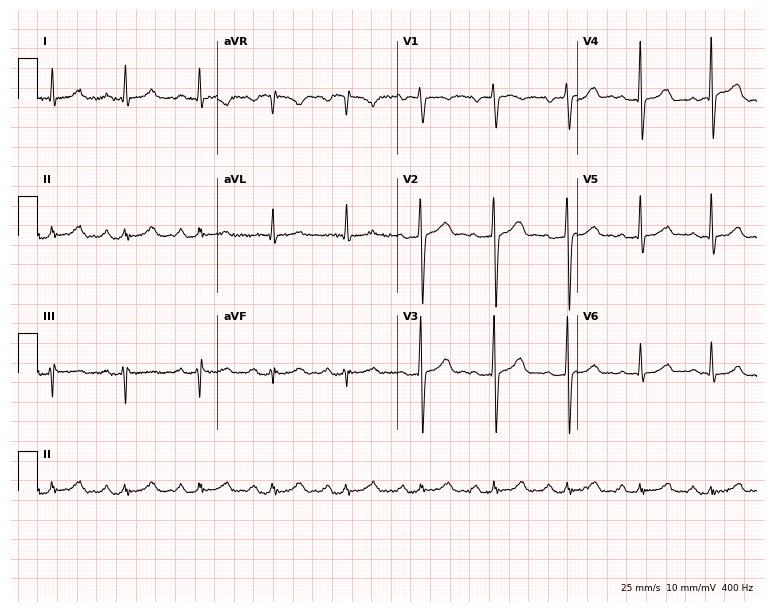
Standard 12-lead ECG recorded from a man, 45 years old (7.3-second recording at 400 Hz). None of these six findings is recorded: first-degree AV block, right bundle branch block (RBBB), left bundle branch block (LBBB), sinus bradycardia, atrial fibrillation (AF), sinus tachycardia.